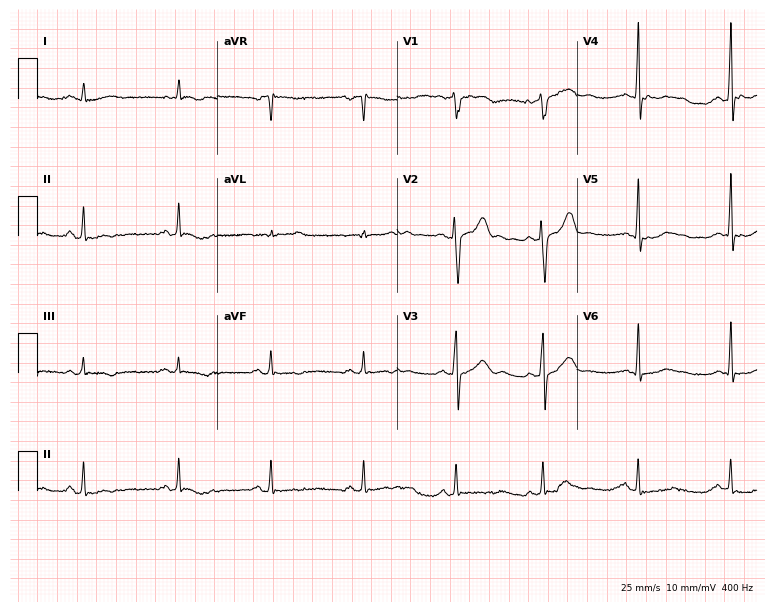
Resting 12-lead electrocardiogram. Patient: a 61-year-old male. None of these six findings is recorded: first-degree AV block, right bundle branch block (RBBB), left bundle branch block (LBBB), sinus bradycardia, atrial fibrillation (AF), sinus tachycardia. Only these six findings were labelled.